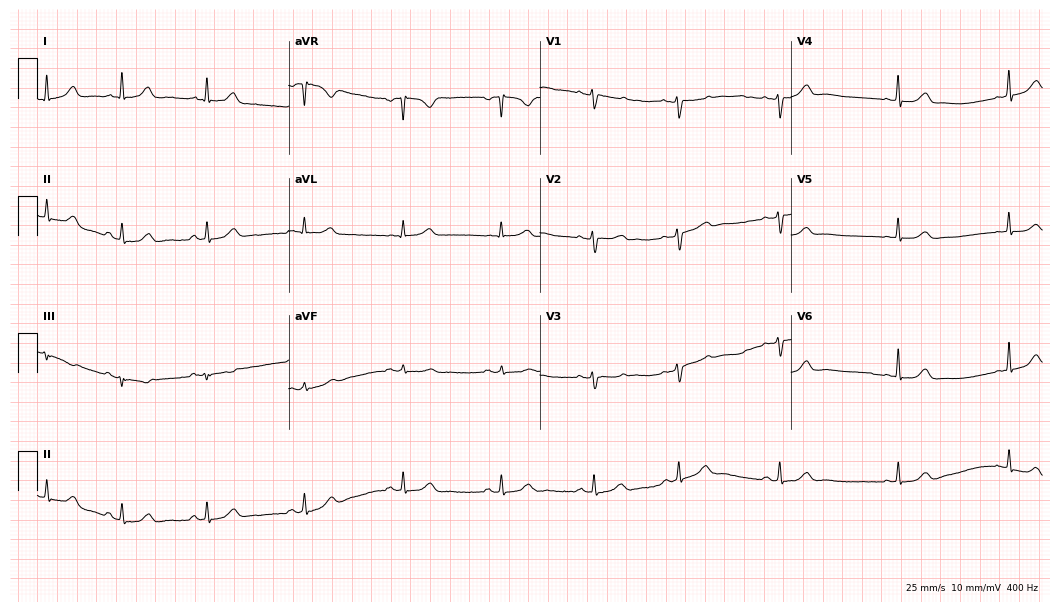
12-lead ECG from a female, 34 years old. Labelled as a normal ECG.